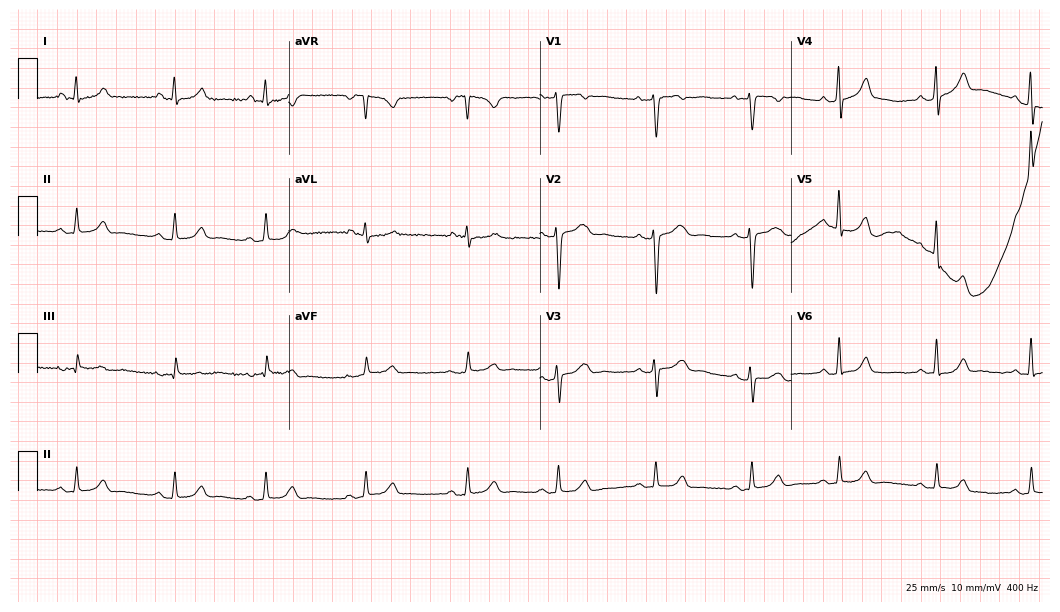
Standard 12-lead ECG recorded from a 35-year-old female. Read as a normal ECG.